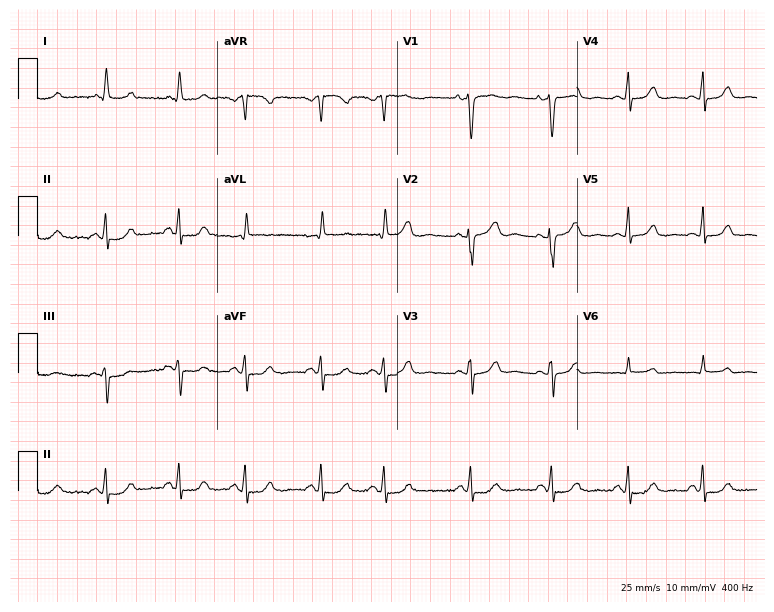
12-lead ECG (7.3-second recording at 400 Hz) from a 42-year-old female patient. Screened for six findings — first-degree AV block, right bundle branch block (RBBB), left bundle branch block (LBBB), sinus bradycardia, atrial fibrillation (AF), sinus tachycardia — none is recorded.